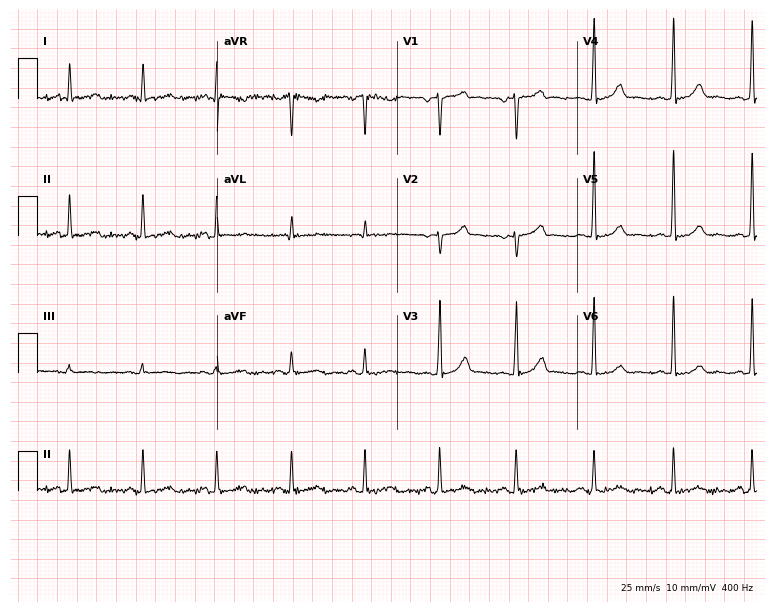
Electrocardiogram, a female patient, 46 years old. Overall reading on record: normal ECG.